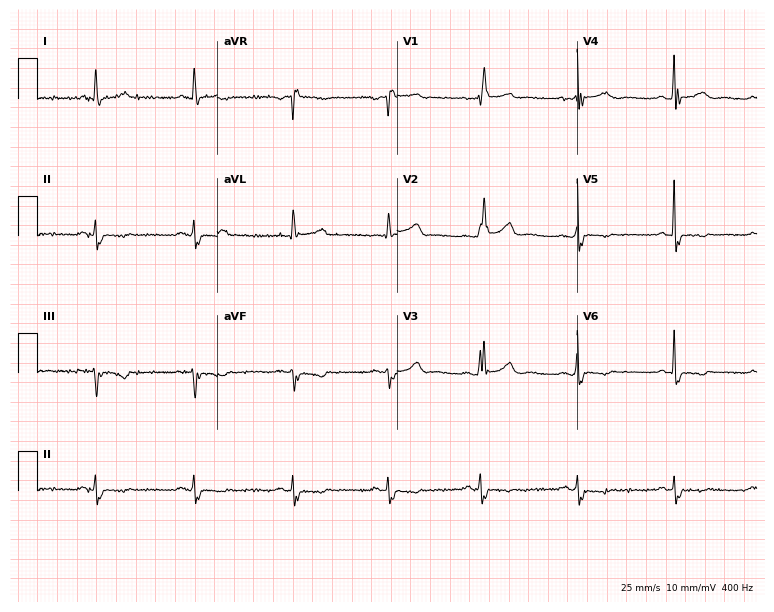
12-lead ECG from a 77-year-old woman (7.3-second recording at 400 Hz). No first-degree AV block, right bundle branch block, left bundle branch block, sinus bradycardia, atrial fibrillation or sinus tachycardia recorded for this tracing.